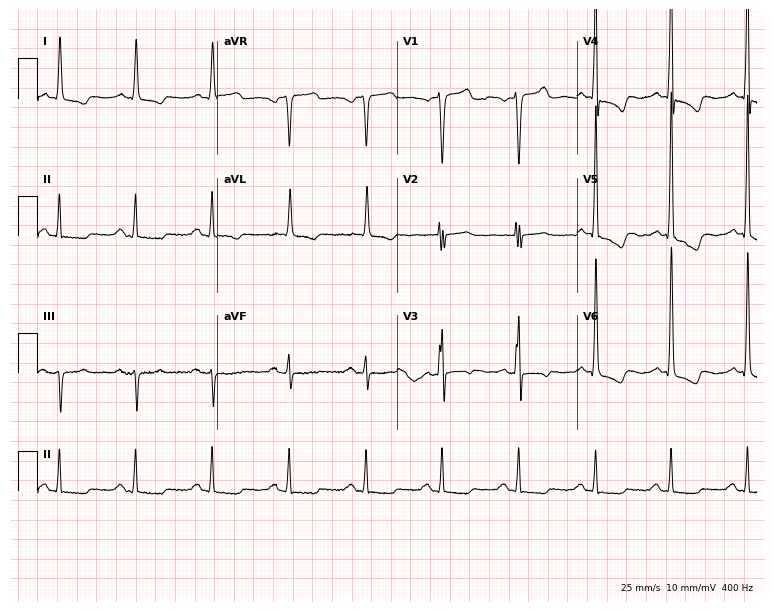
ECG — a 69-year-old male. Screened for six findings — first-degree AV block, right bundle branch block, left bundle branch block, sinus bradycardia, atrial fibrillation, sinus tachycardia — none is recorded.